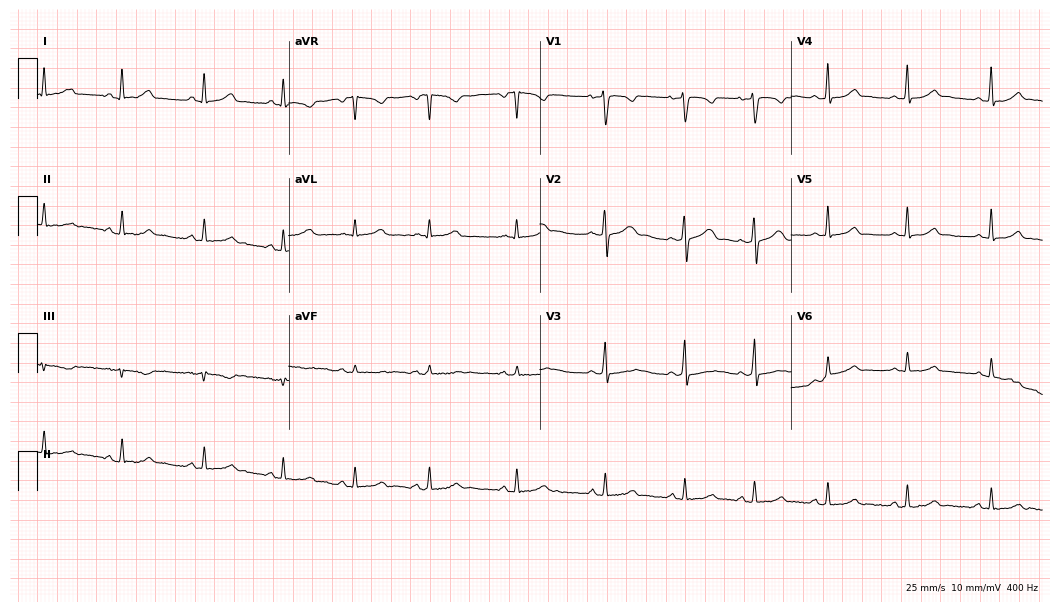
12-lead ECG from a 25-year-old female. Recorded interpretation: within normal limits.